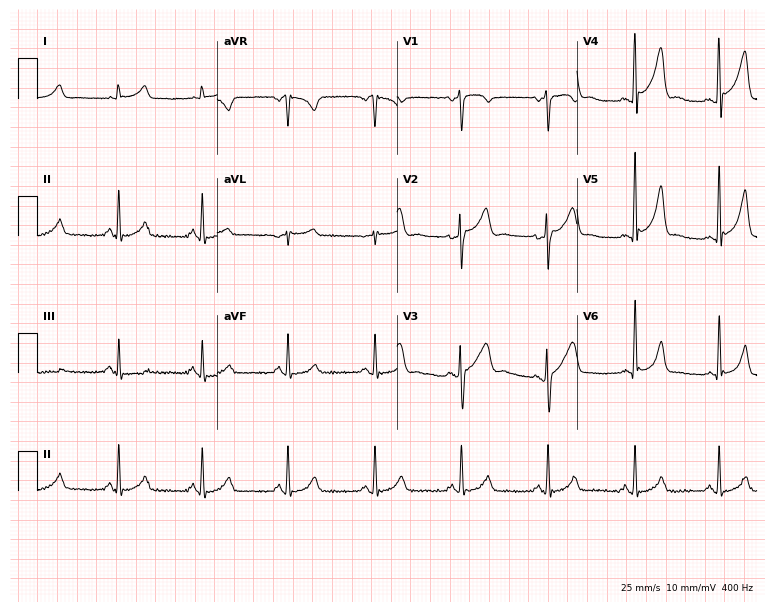
Resting 12-lead electrocardiogram. Patient: a 35-year-old man. Read as a normal ECG.